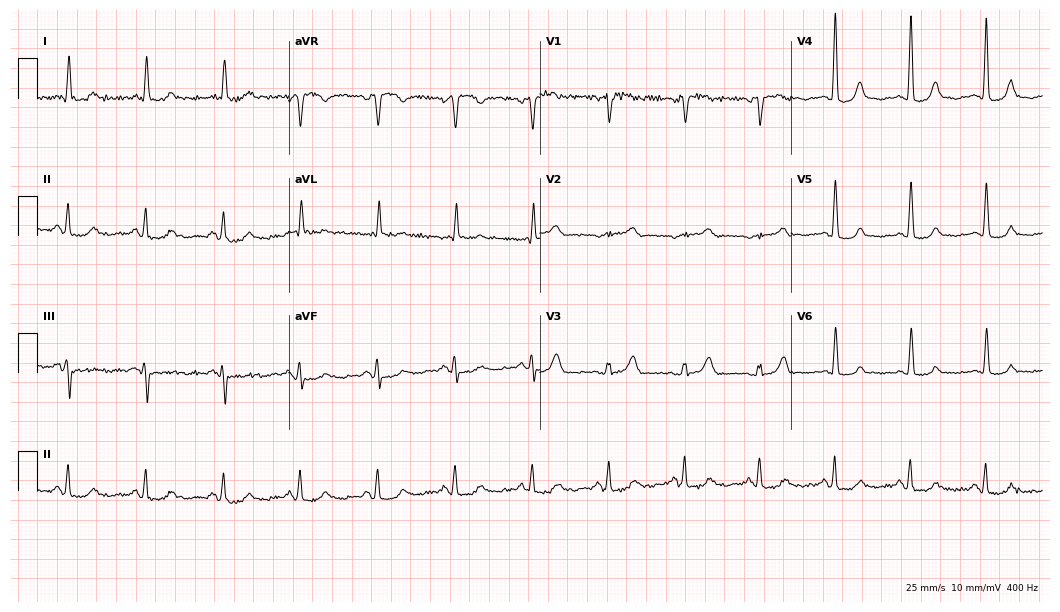
Standard 12-lead ECG recorded from an 80-year-old female patient (10.2-second recording at 400 Hz). Read as a normal ECG.